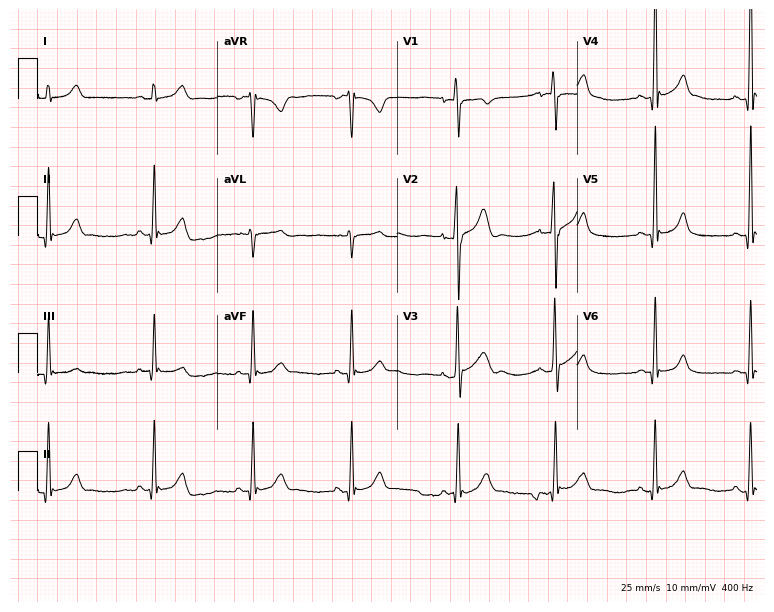
ECG — a 20-year-old male patient. Labelled as a normal ECG.